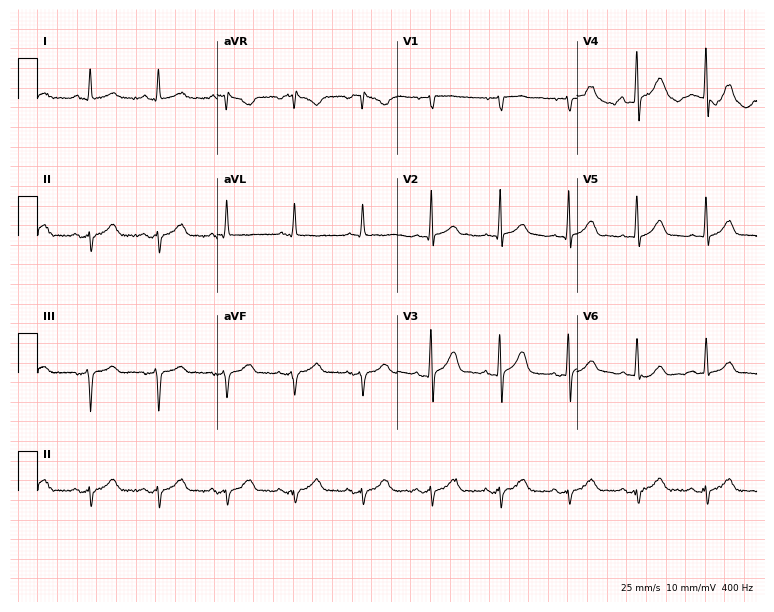
Resting 12-lead electrocardiogram (7.3-second recording at 400 Hz). Patient: a male, 65 years old. None of these six findings is recorded: first-degree AV block, right bundle branch block (RBBB), left bundle branch block (LBBB), sinus bradycardia, atrial fibrillation (AF), sinus tachycardia.